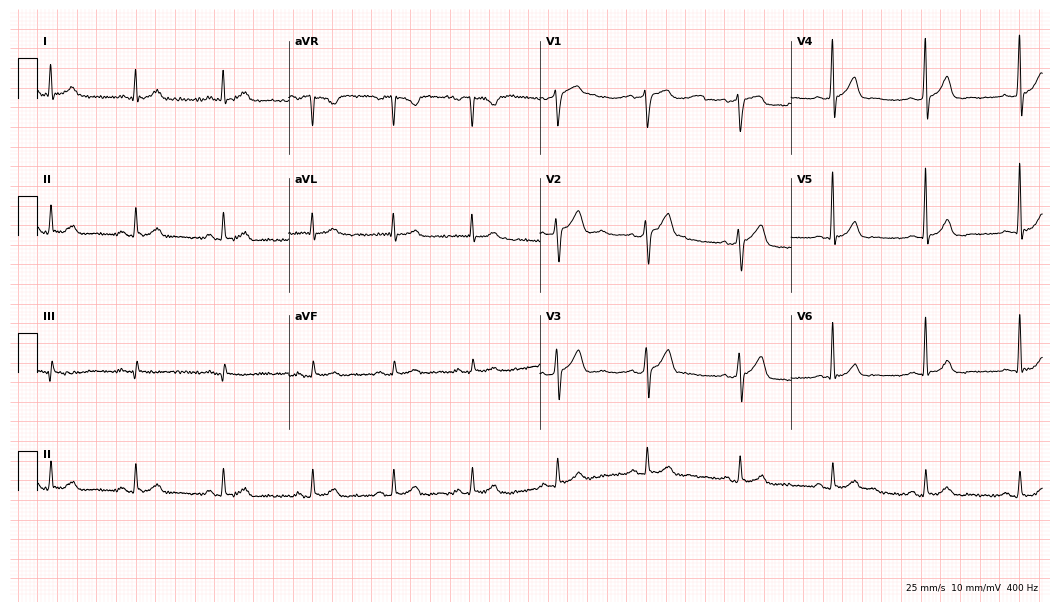
Resting 12-lead electrocardiogram. Patient: a 59-year-old male. Read as a normal ECG.